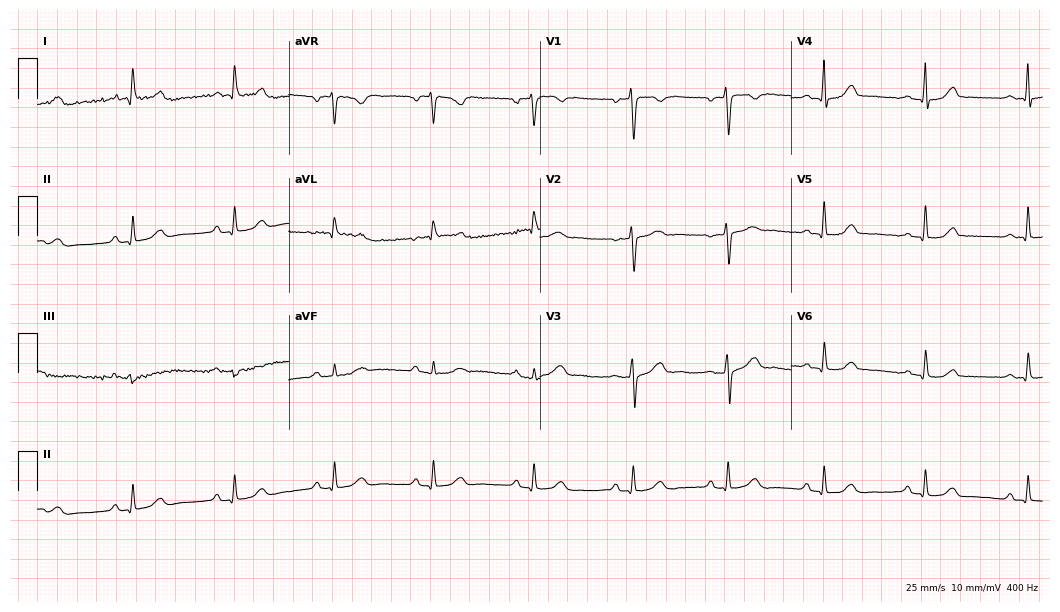
12-lead ECG from a female, 49 years old. Recorded interpretation: within normal limits.